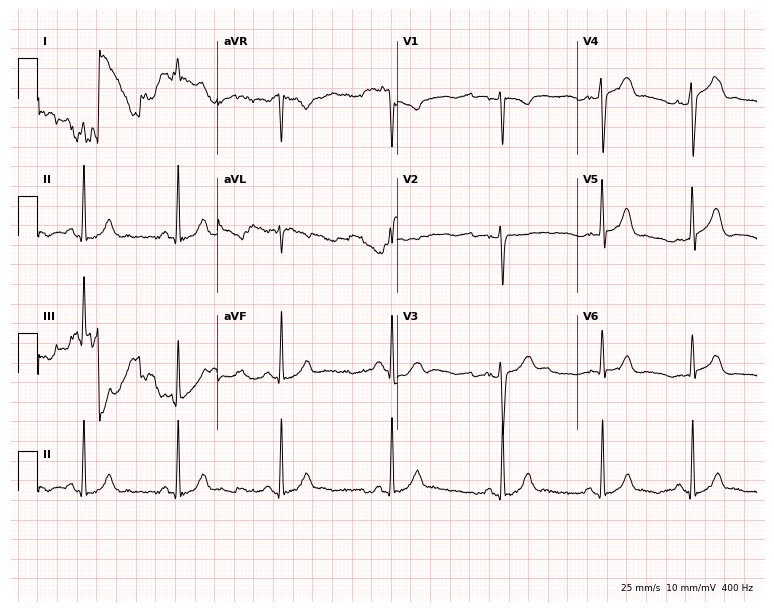
12-lead ECG from a 34-year-old female patient (7.3-second recording at 400 Hz). No first-degree AV block, right bundle branch block, left bundle branch block, sinus bradycardia, atrial fibrillation or sinus tachycardia recorded for this tracing.